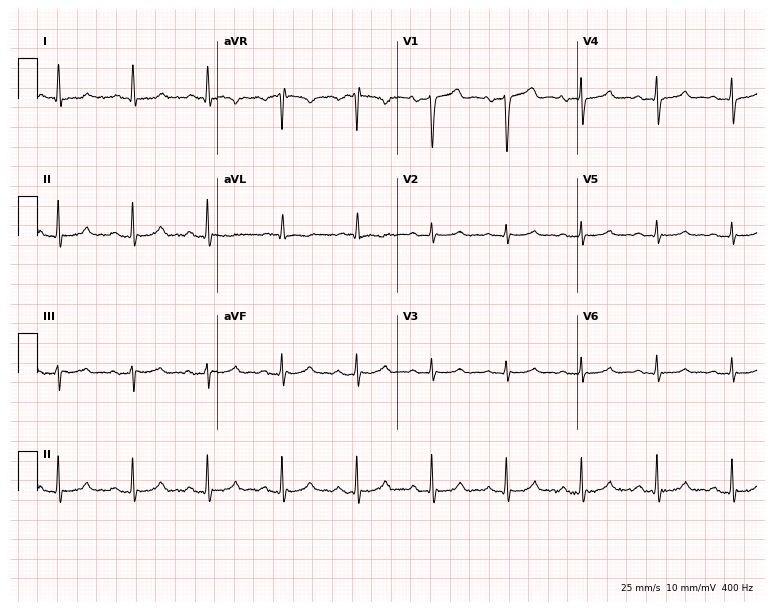
Standard 12-lead ECG recorded from a 70-year-old female patient (7.3-second recording at 400 Hz). Read as a normal ECG.